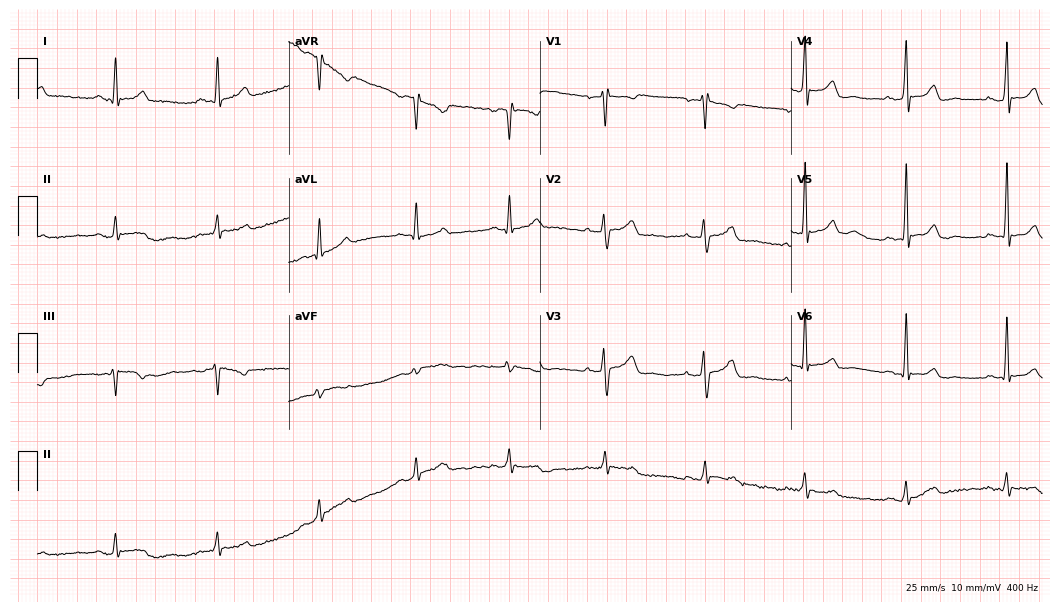
12-lead ECG from a woman, 56 years old. Recorded interpretation: within normal limits.